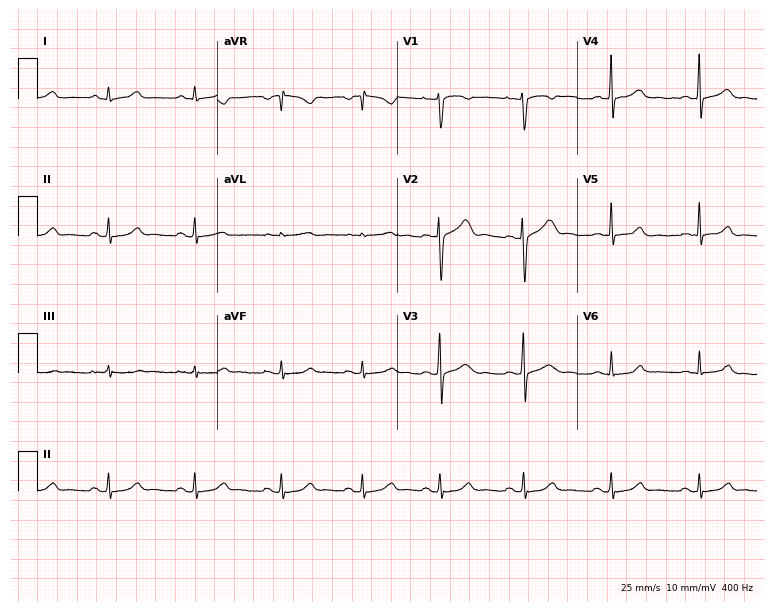
12-lead ECG from a 36-year-old female. Screened for six findings — first-degree AV block, right bundle branch block, left bundle branch block, sinus bradycardia, atrial fibrillation, sinus tachycardia — none is recorded. Only these six findings were labelled.